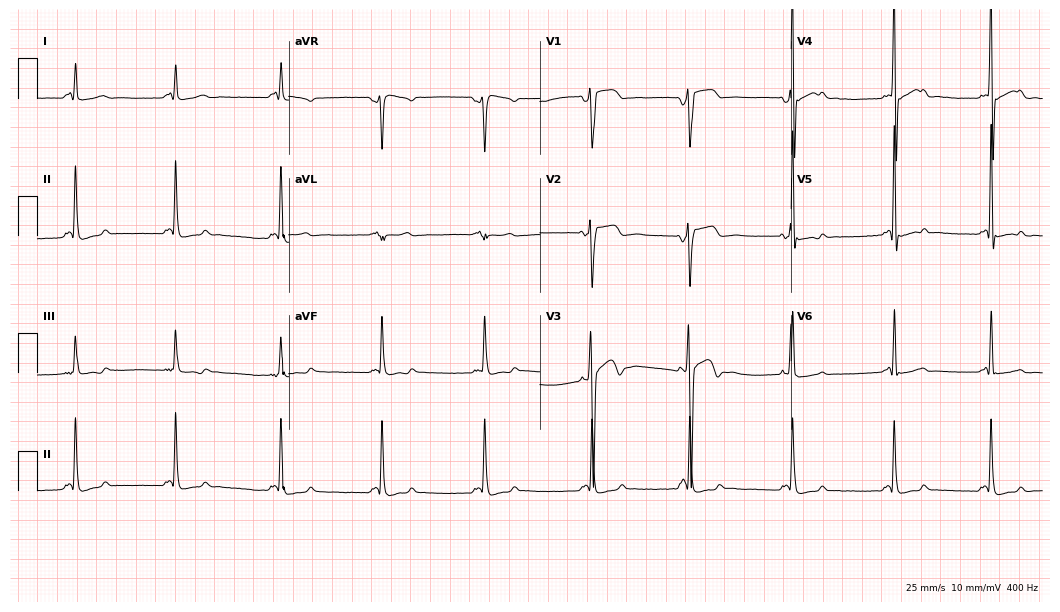
ECG (10.2-second recording at 400 Hz) — a man, 20 years old. Screened for six findings — first-degree AV block, right bundle branch block (RBBB), left bundle branch block (LBBB), sinus bradycardia, atrial fibrillation (AF), sinus tachycardia — none is recorded.